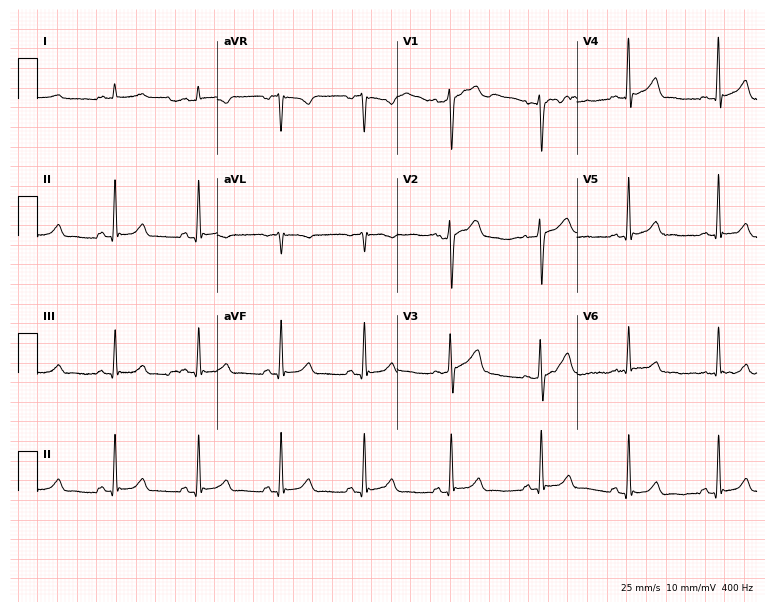
ECG — a 55-year-old man. Labelled as a normal ECG.